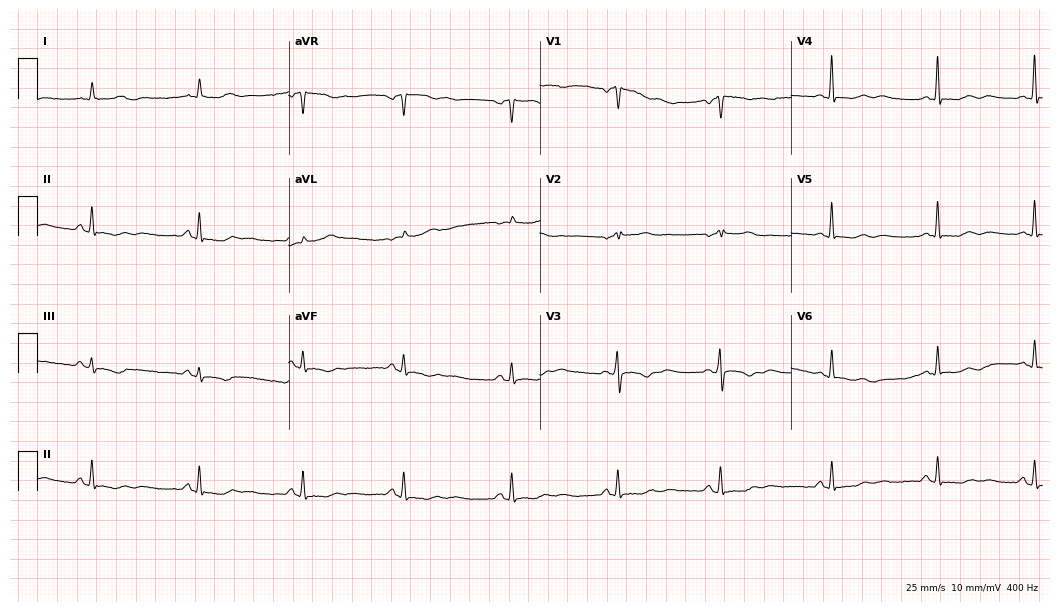
Electrocardiogram, a 49-year-old female patient. Of the six screened findings (first-degree AV block, right bundle branch block, left bundle branch block, sinus bradycardia, atrial fibrillation, sinus tachycardia), none is recorded. Only these six findings were labelled.